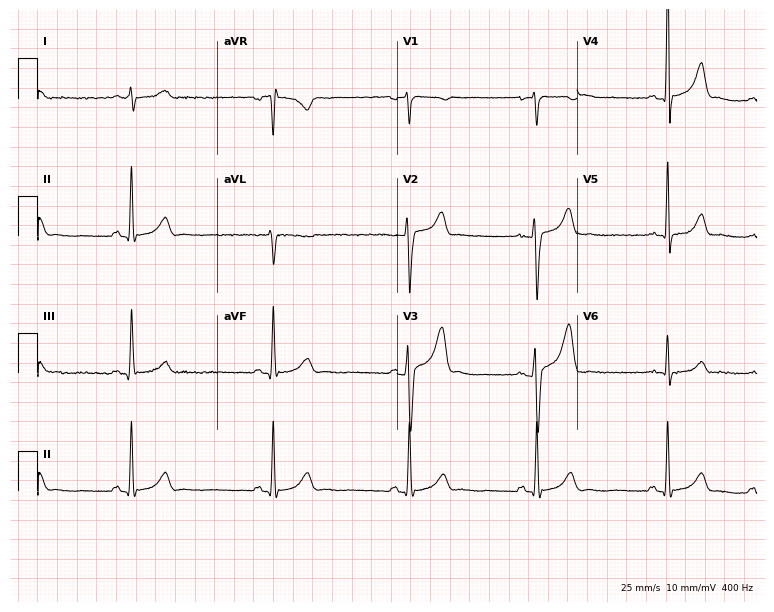
Electrocardiogram, a 22-year-old male patient. Of the six screened findings (first-degree AV block, right bundle branch block (RBBB), left bundle branch block (LBBB), sinus bradycardia, atrial fibrillation (AF), sinus tachycardia), none is recorded.